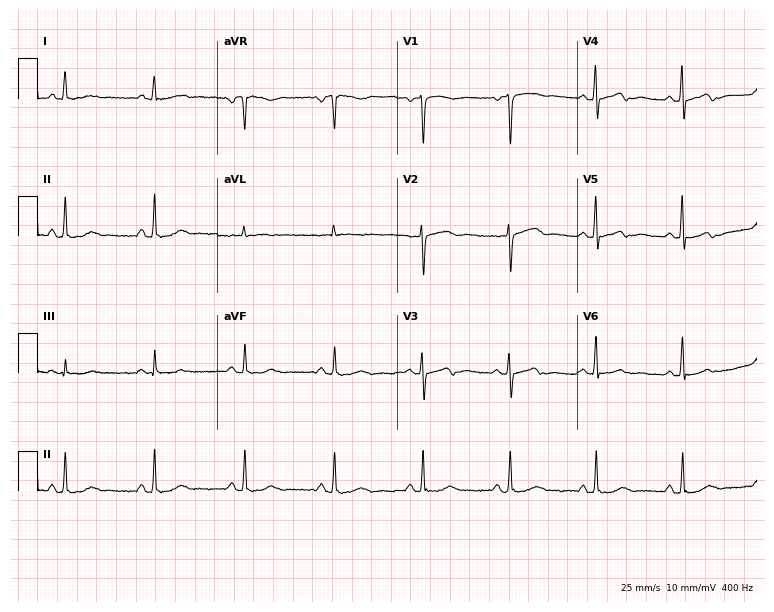
Electrocardiogram, a 51-year-old woman. Overall reading on record: normal ECG.